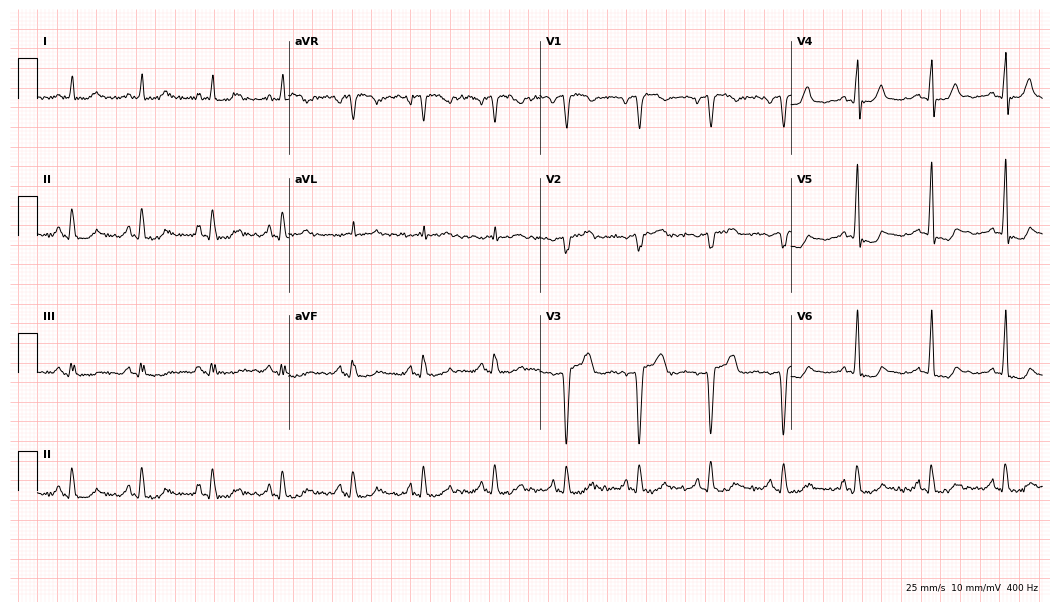
Standard 12-lead ECG recorded from a 75-year-old male. None of these six findings is recorded: first-degree AV block, right bundle branch block (RBBB), left bundle branch block (LBBB), sinus bradycardia, atrial fibrillation (AF), sinus tachycardia.